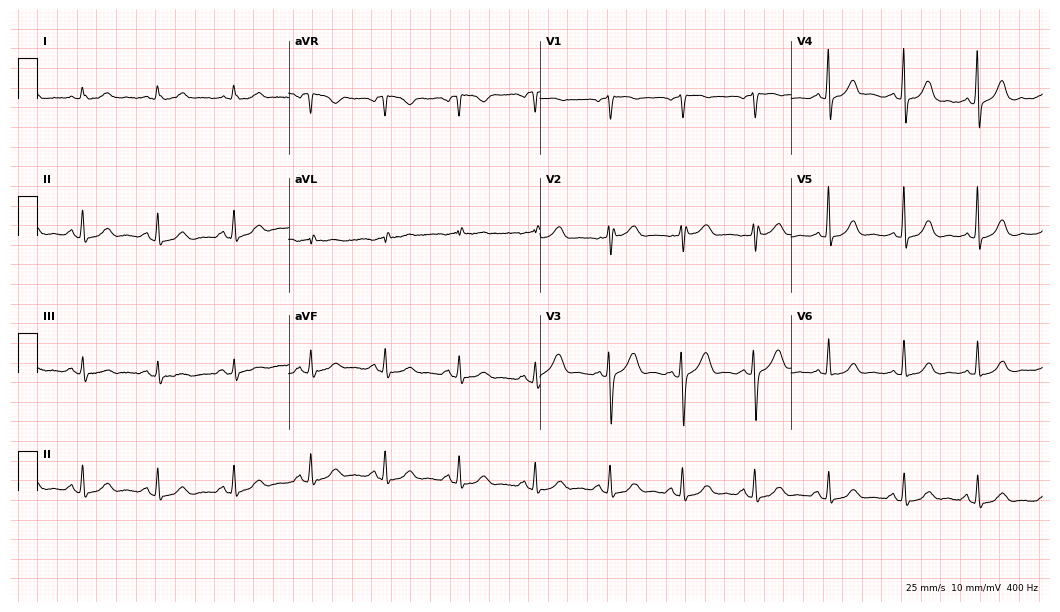
12-lead ECG (10.2-second recording at 400 Hz) from a female patient, 52 years old. Labelled as a normal ECG.